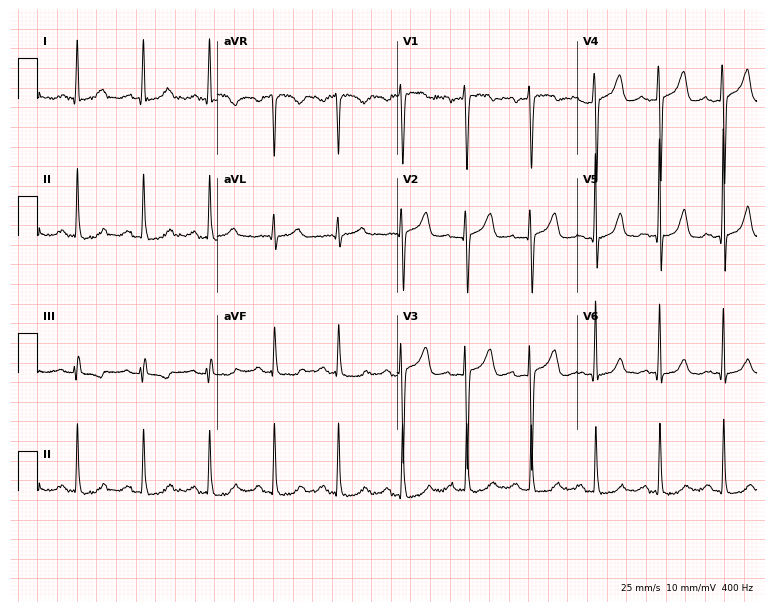
12-lead ECG from a female patient, 38 years old (7.3-second recording at 400 Hz). Recorded interpretation: within normal limits.